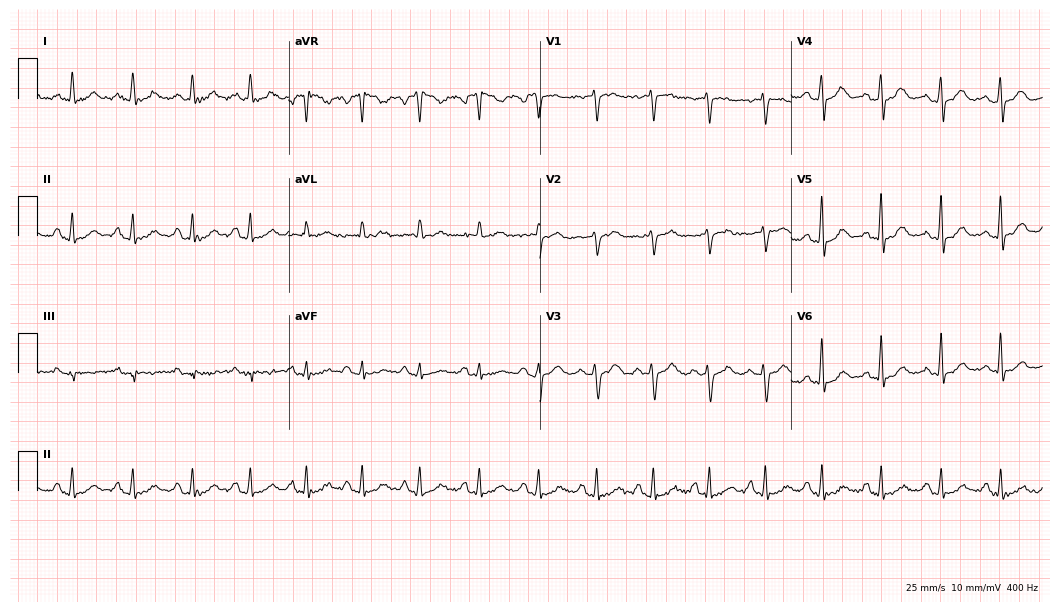
Electrocardiogram, a woman, 44 years old. Interpretation includes sinus tachycardia (a sinus rate of 100 beats per minute or more).